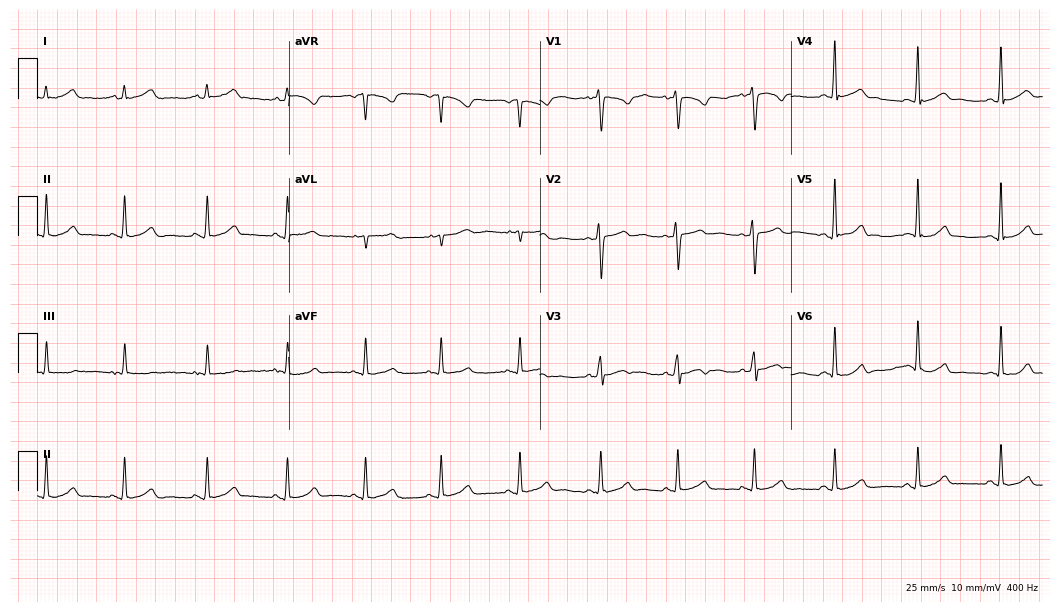
12-lead ECG from a woman, 33 years old. Recorded interpretation: within normal limits.